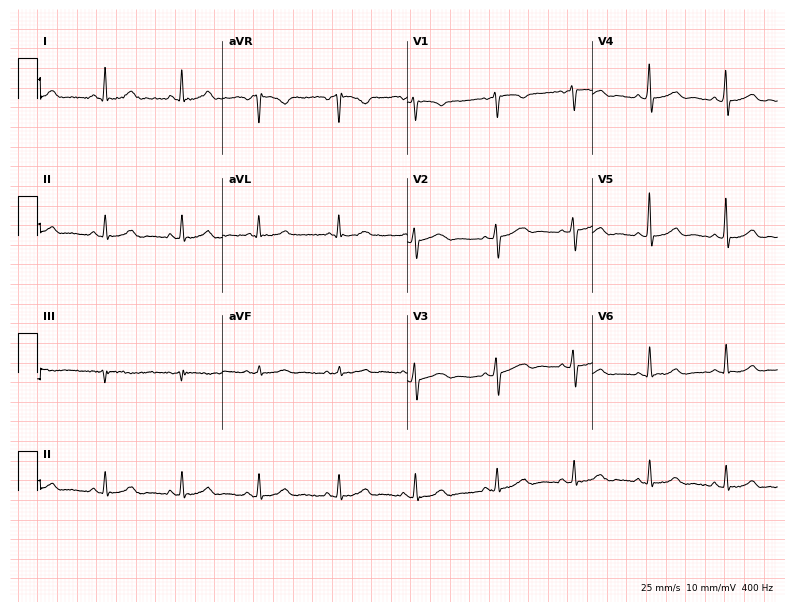
ECG (7.5-second recording at 400 Hz) — a female, 49 years old. Screened for six findings — first-degree AV block, right bundle branch block, left bundle branch block, sinus bradycardia, atrial fibrillation, sinus tachycardia — none is recorded. Only these six findings were labelled.